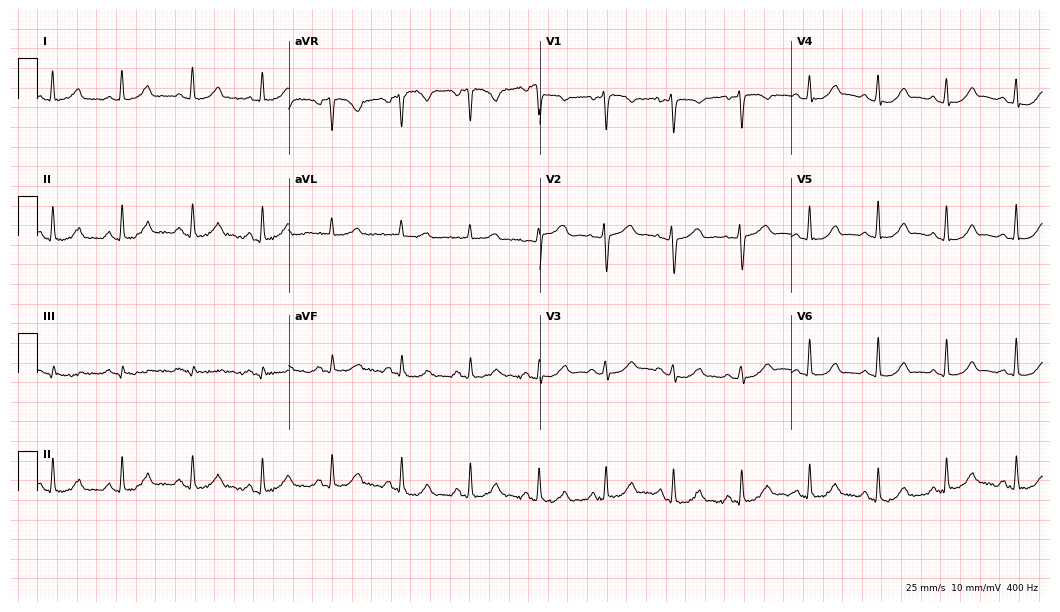
12-lead ECG from a female, 41 years old. Labelled as a normal ECG.